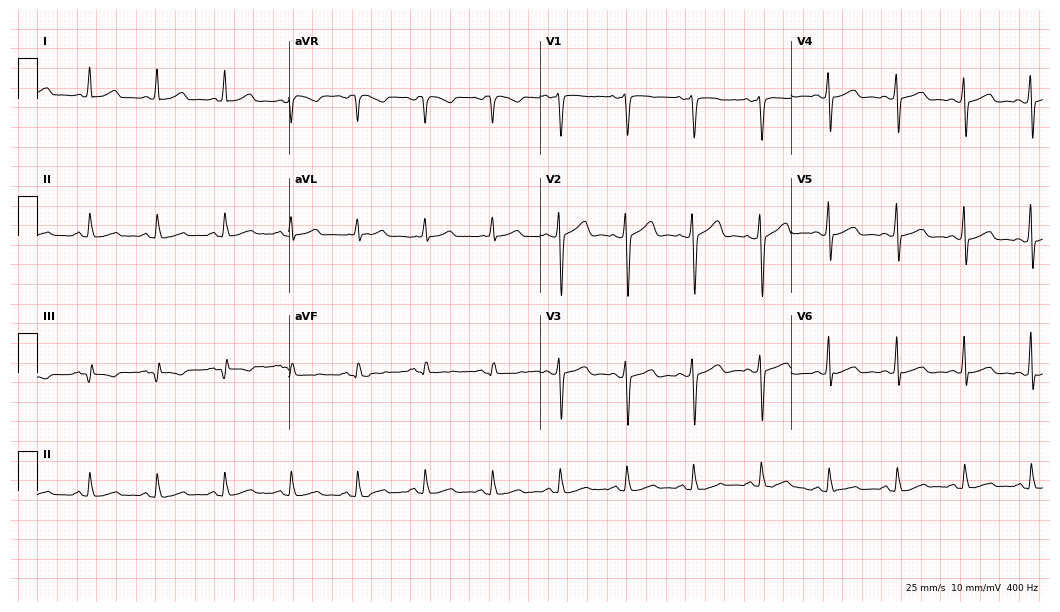
Resting 12-lead electrocardiogram (10.2-second recording at 400 Hz). Patient: a 70-year-old female. Read as a normal ECG.